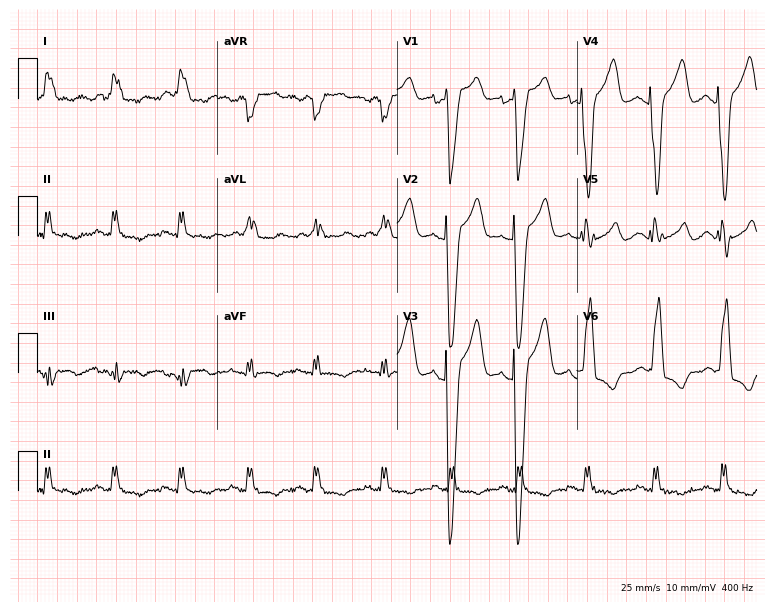
Electrocardiogram (7.3-second recording at 400 Hz), a 70-year-old woman. Interpretation includes left bundle branch block.